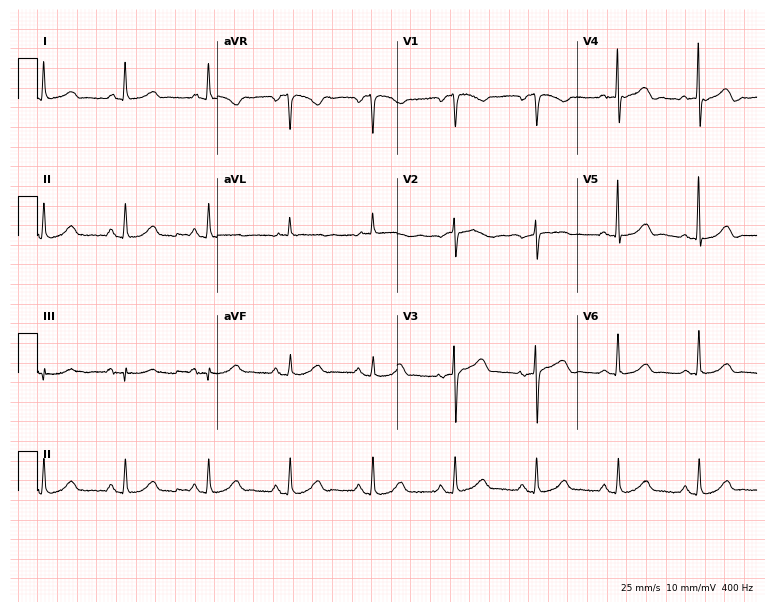
12-lead ECG from a 71-year-old female patient (7.3-second recording at 400 Hz). Recorded interpretation: within normal limits.